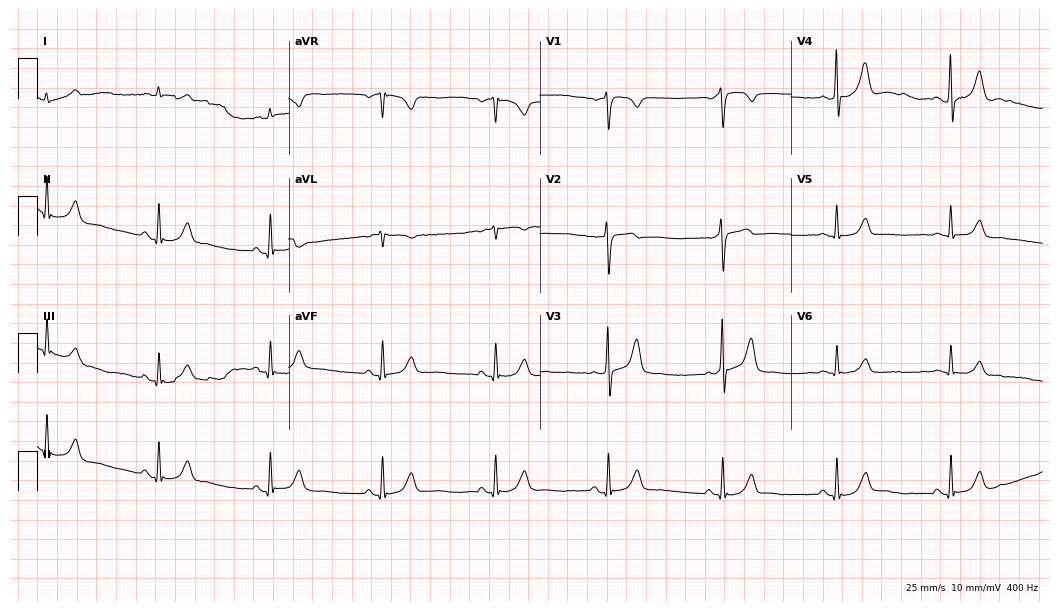
Electrocardiogram (10.2-second recording at 400 Hz), a male, 65 years old. Overall reading on record: normal ECG.